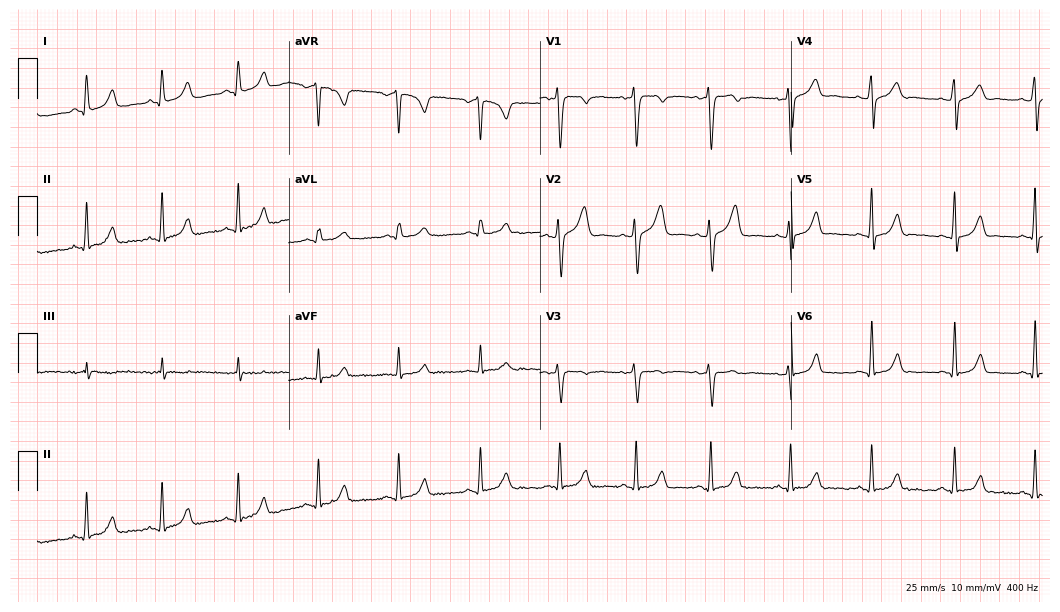
12-lead ECG (10.2-second recording at 400 Hz) from a 20-year-old man. Labelled as a normal ECG.